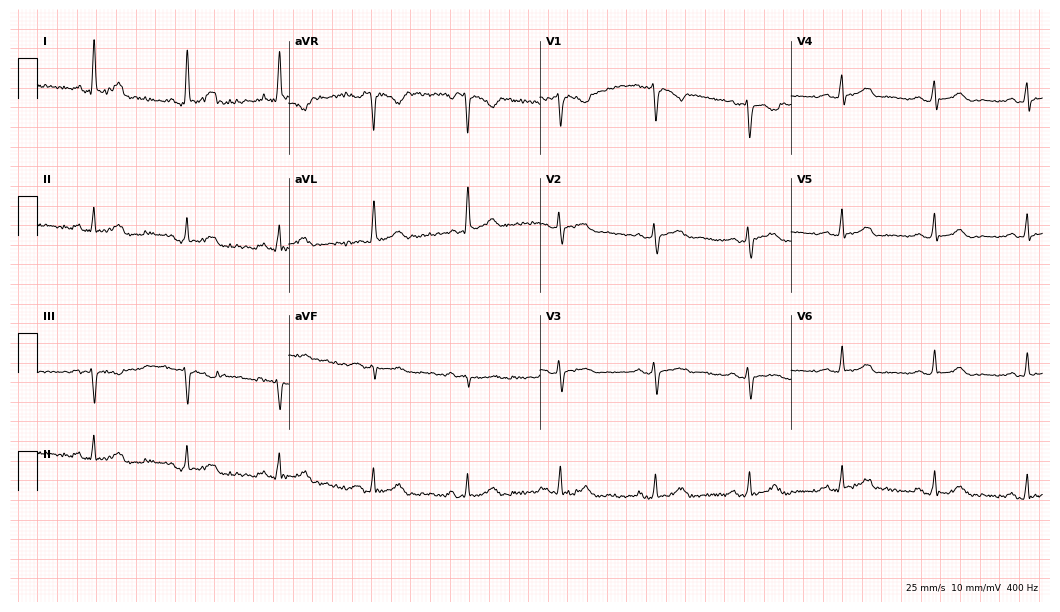
ECG (10.2-second recording at 400 Hz) — a 55-year-old woman. Screened for six findings — first-degree AV block, right bundle branch block (RBBB), left bundle branch block (LBBB), sinus bradycardia, atrial fibrillation (AF), sinus tachycardia — none is recorded. Findings outside these six are not listed.